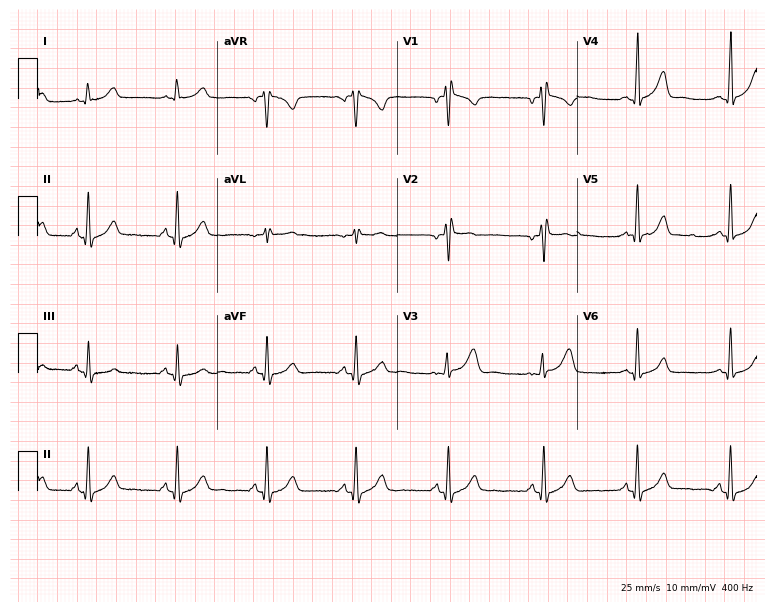
12-lead ECG (7.3-second recording at 400 Hz) from a female patient, 25 years old. Screened for six findings — first-degree AV block, right bundle branch block, left bundle branch block, sinus bradycardia, atrial fibrillation, sinus tachycardia — none is recorded. Only these six findings were labelled.